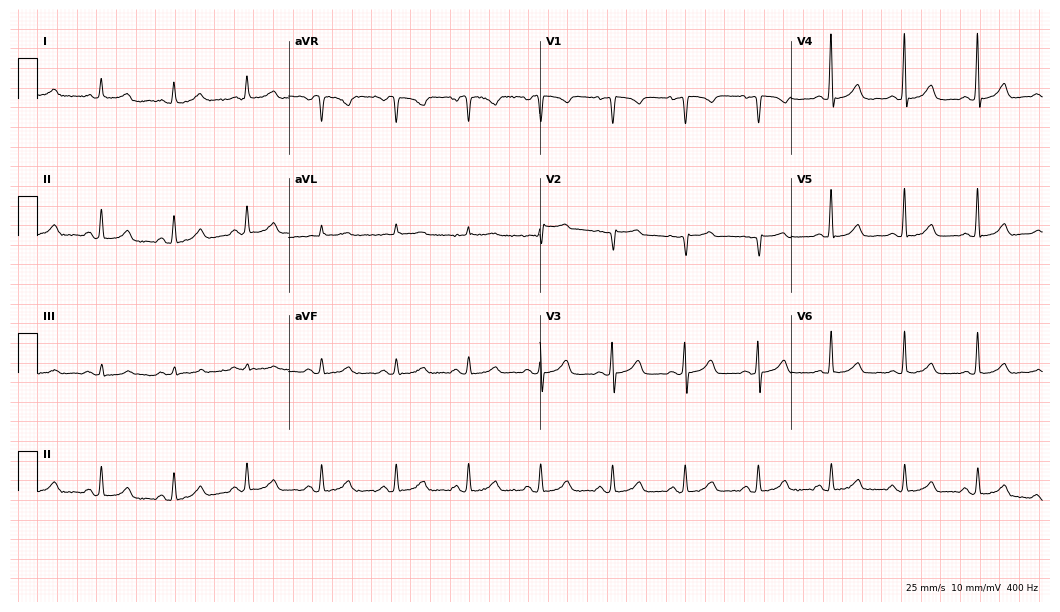
Resting 12-lead electrocardiogram (10.2-second recording at 400 Hz). Patient: a 74-year-old female. Read as a normal ECG.